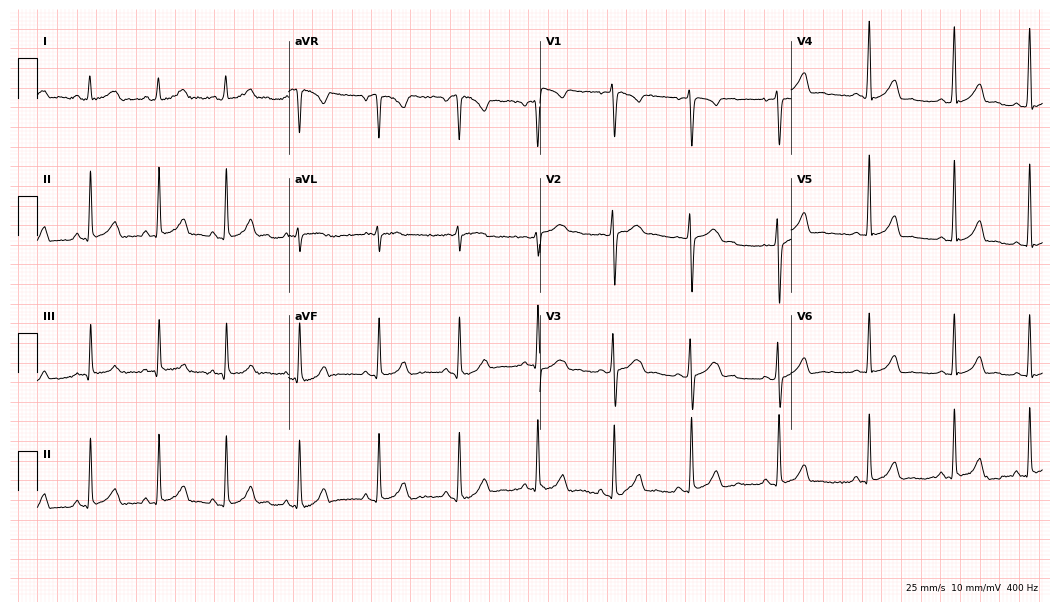
12-lead ECG from a 21-year-old female patient. No first-degree AV block, right bundle branch block (RBBB), left bundle branch block (LBBB), sinus bradycardia, atrial fibrillation (AF) or sinus tachycardia recorded for this tracing. Findings outside these six are not listed.